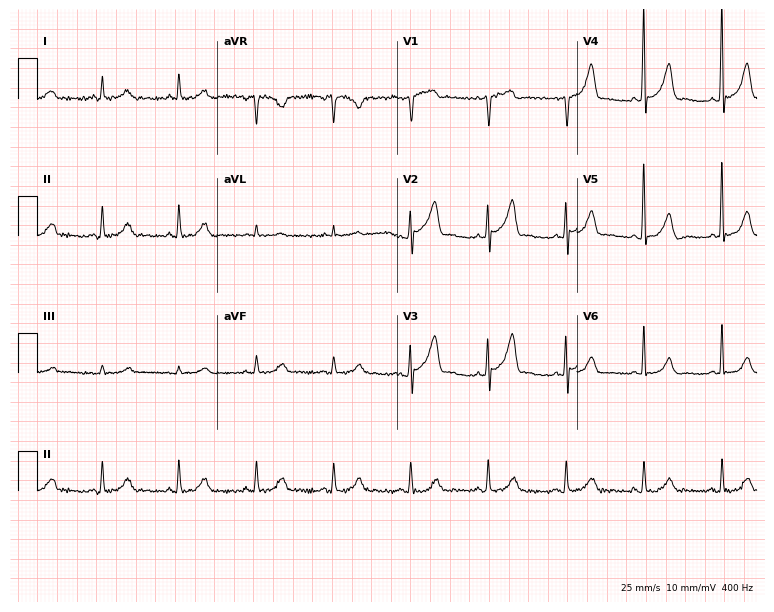
12-lead ECG from a 67-year-old male. No first-degree AV block, right bundle branch block, left bundle branch block, sinus bradycardia, atrial fibrillation or sinus tachycardia recorded for this tracing.